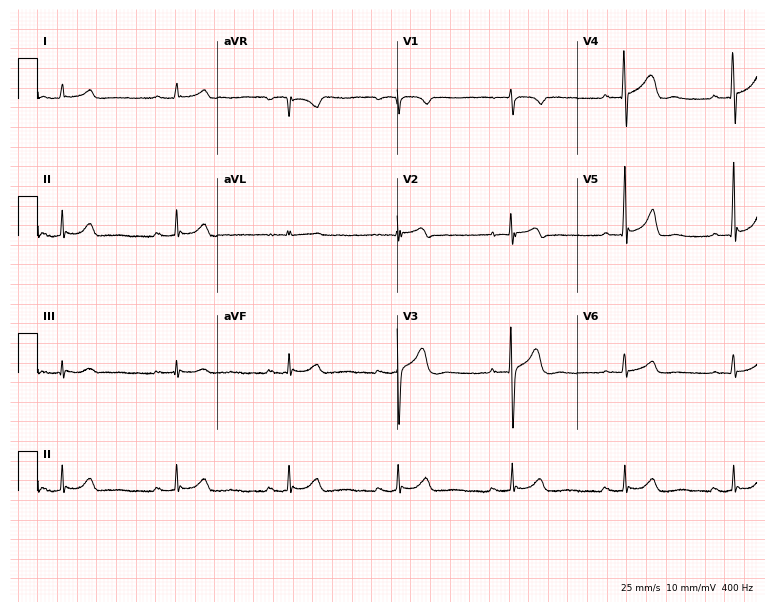
Standard 12-lead ECG recorded from a 48-year-old man (7.3-second recording at 400 Hz). None of these six findings is recorded: first-degree AV block, right bundle branch block, left bundle branch block, sinus bradycardia, atrial fibrillation, sinus tachycardia.